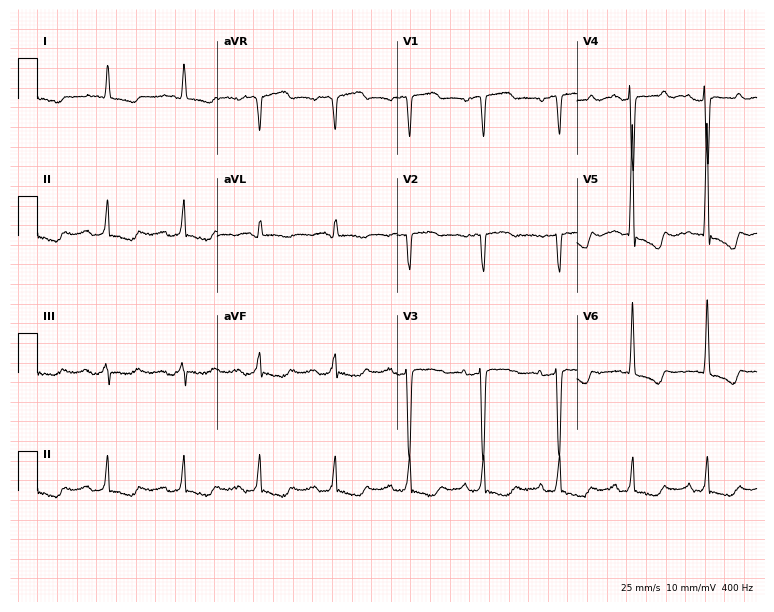
Electrocardiogram (7.3-second recording at 400 Hz), a 68-year-old female. Of the six screened findings (first-degree AV block, right bundle branch block, left bundle branch block, sinus bradycardia, atrial fibrillation, sinus tachycardia), none is recorded. Only these six findings were labelled.